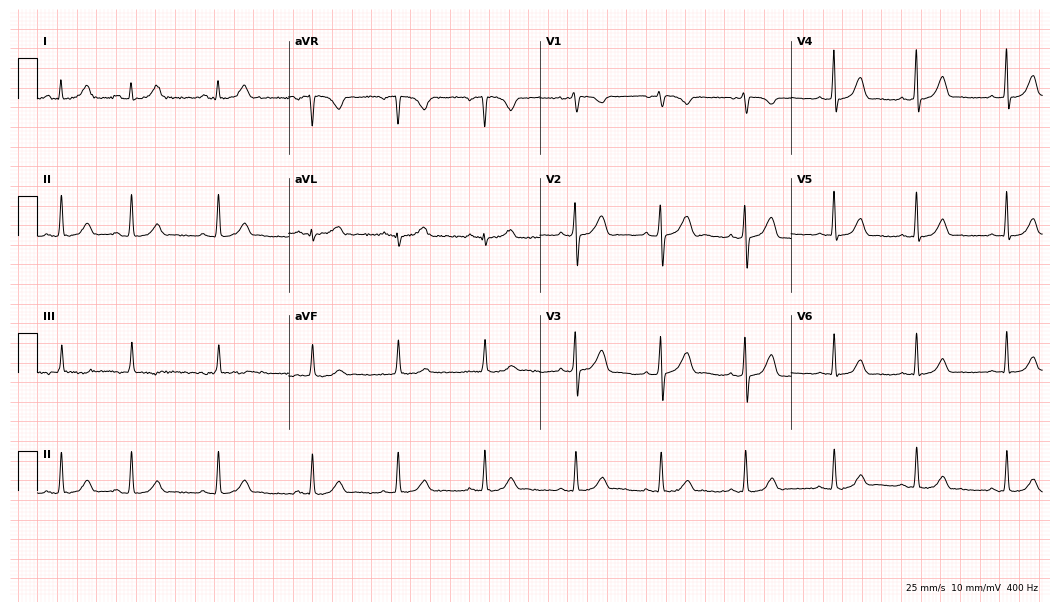
12-lead ECG (10.2-second recording at 400 Hz) from a female patient, 21 years old. Screened for six findings — first-degree AV block, right bundle branch block, left bundle branch block, sinus bradycardia, atrial fibrillation, sinus tachycardia — none is recorded.